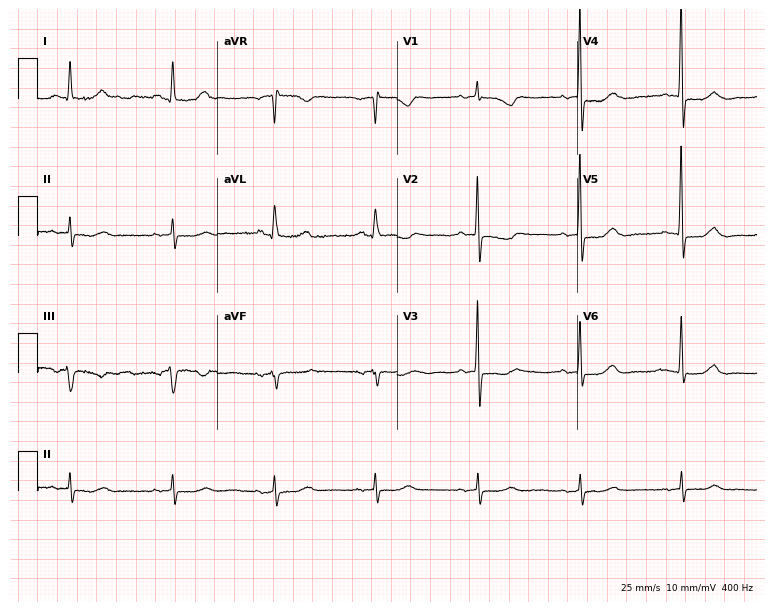
ECG (7.3-second recording at 400 Hz) — a woman, 82 years old. Screened for six findings — first-degree AV block, right bundle branch block (RBBB), left bundle branch block (LBBB), sinus bradycardia, atrial fibrillation (AF), sinus tachycardia — none is recorded. Only these six findings were labelled.